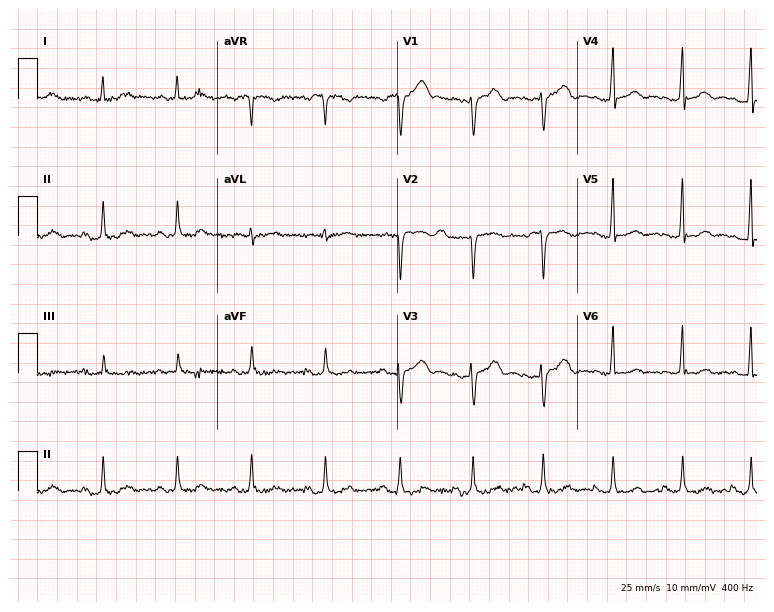
ECG (7.3-second recording at 400 Hz) — a female patient, 38 years old. Screened for six findings — first-degree AV block, right bundle branch block (RBBB), left bundle branch block (LBBB), sinus bradycardia, atrial fibrillation (AF), sinus tachycardia — none is recorded.